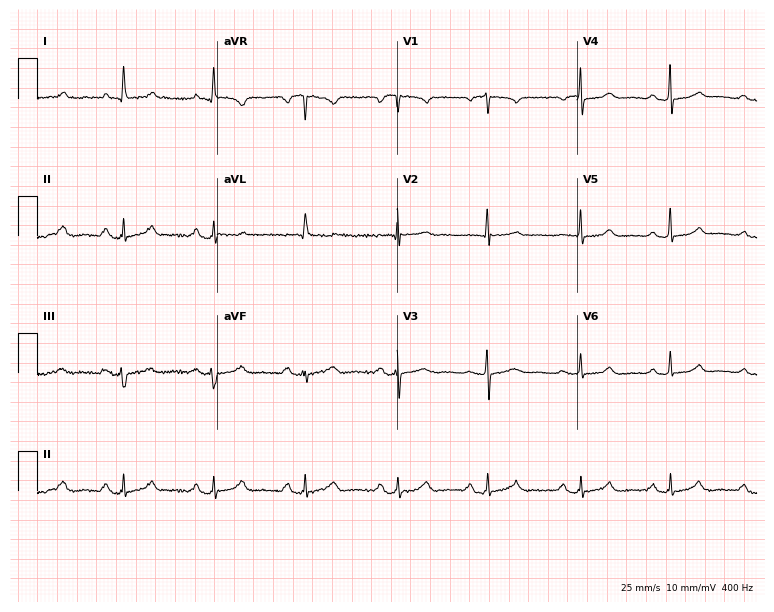
Resting 12-lead electrocardiogram. Patient: a 57-year-old female. Read as a normal ECG.